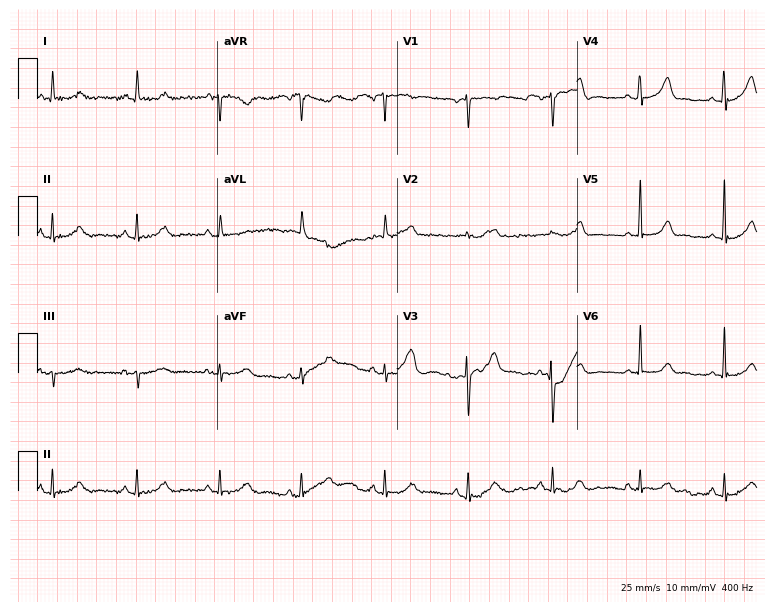
Electrocardiogram (7.3-second recording at 400 Hz), a woman, 79 years old. Overall reading on record: normal ECG.